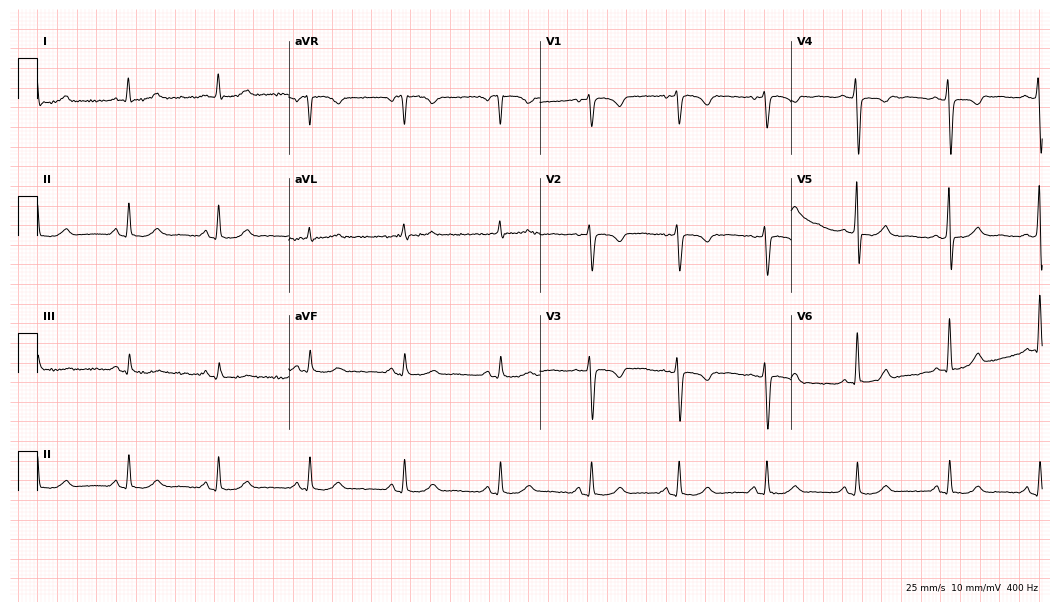
Resting 12-lead electrocardiogram. Patient: a 54-year-old female. None of these six findings is recorded: first-degree AV block, right bundle branch block, left bundle branch block, sinus bradycardia, atrial fibrillation, sinus tachycardia.